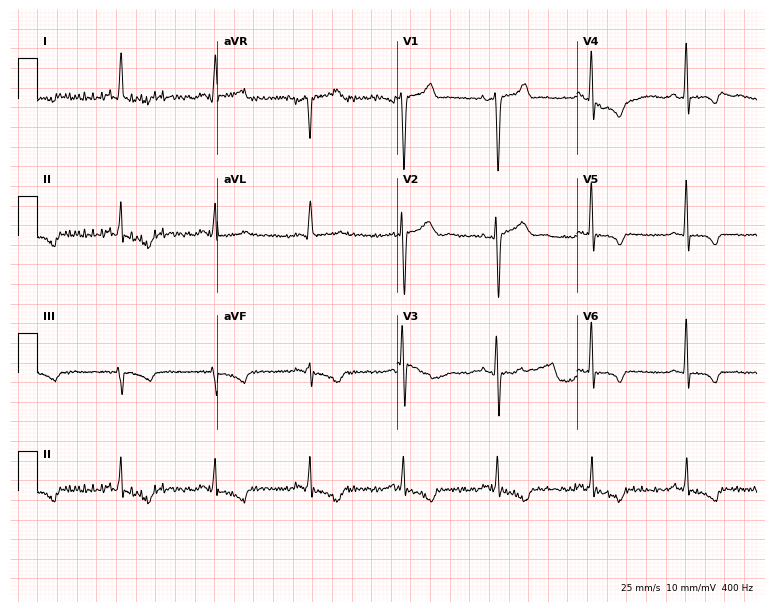
ECG — a 45-year-old male. Screened for six findings — first-degree AV block, right bundle branch block (RBBB), left bundle branch block (LBBB), sinus bradycardia, atrial fibrillation (AF), sinus tachycardia — none is recorded.